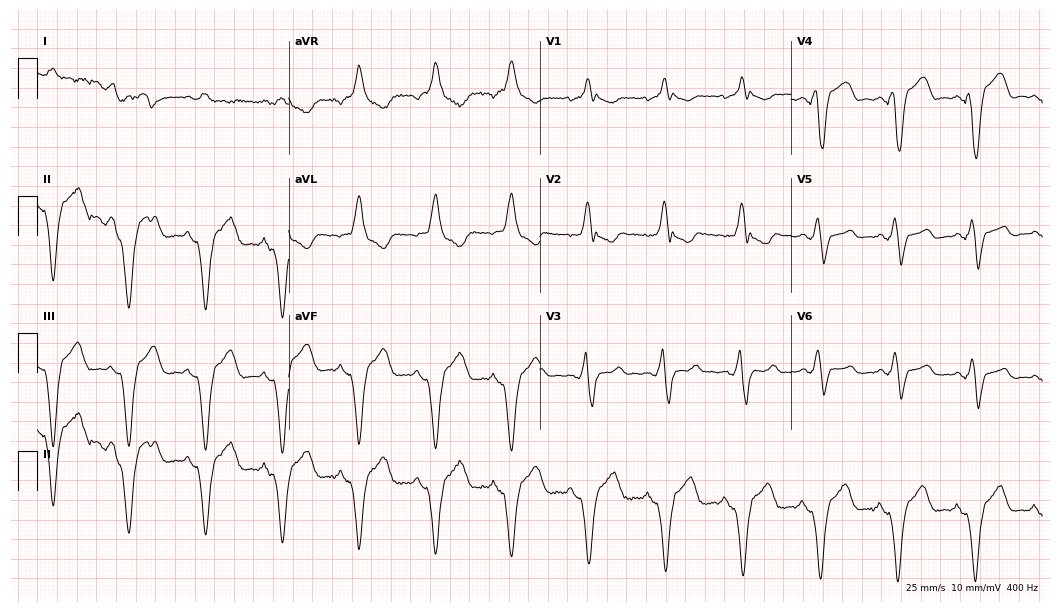
Resting 12-lead electrocardiogram. Patient: a 59-year-old male. None of these six findings is recorded: first-degree AV block, right bundle branch block, left bundle branch block, sinus bradycardia, atrial fibrillation, sinus tachycardia.